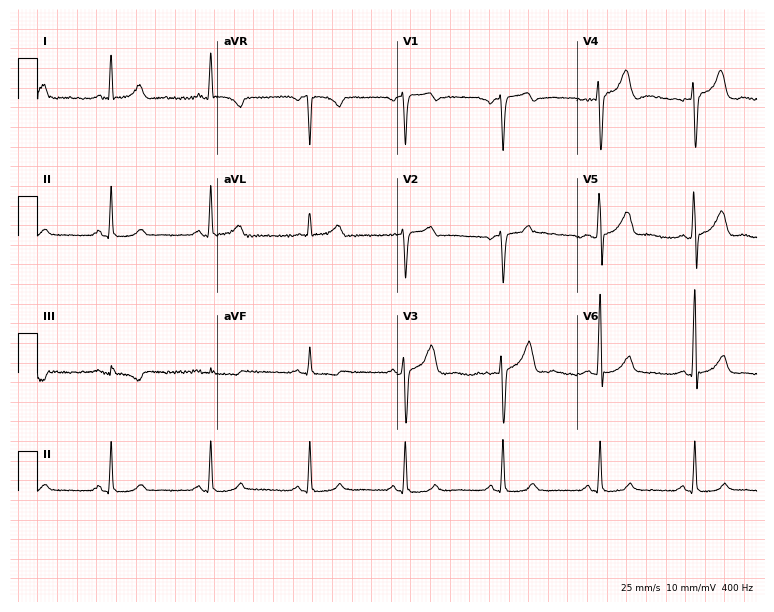
ECG — a 44-year-old male patient. Screened for six findings — first-degree AV block, right bundle branch block, left bundle branch block, sinus bradycardia, atrial fibrillation, sinus tachycardia — none is recorded.